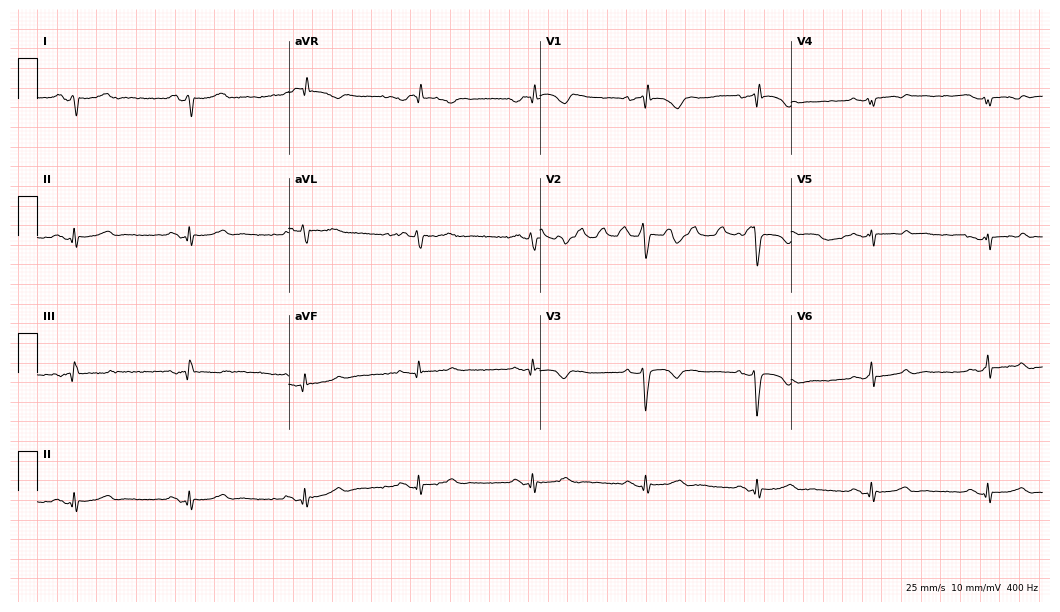
12-lead ECG from a 52-year-old female patient. Screened for six findings — first-degree AV block, right bundle branch block, left bundle branch block, sinus bradycardia, atrial fibrillation, sinus tachycardia — none is recorded.